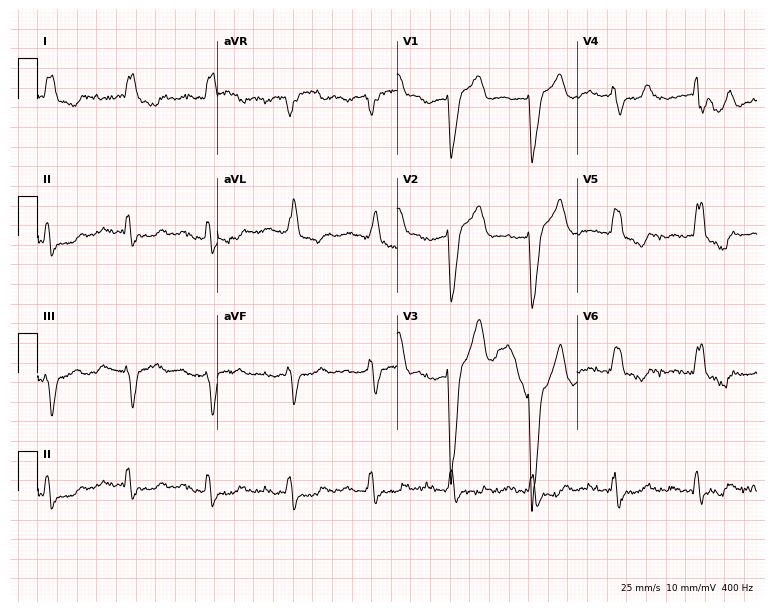
12-lead ECG from a male, 85 years old. Shows first-degree AV block, left bundle branch block (LBBB).